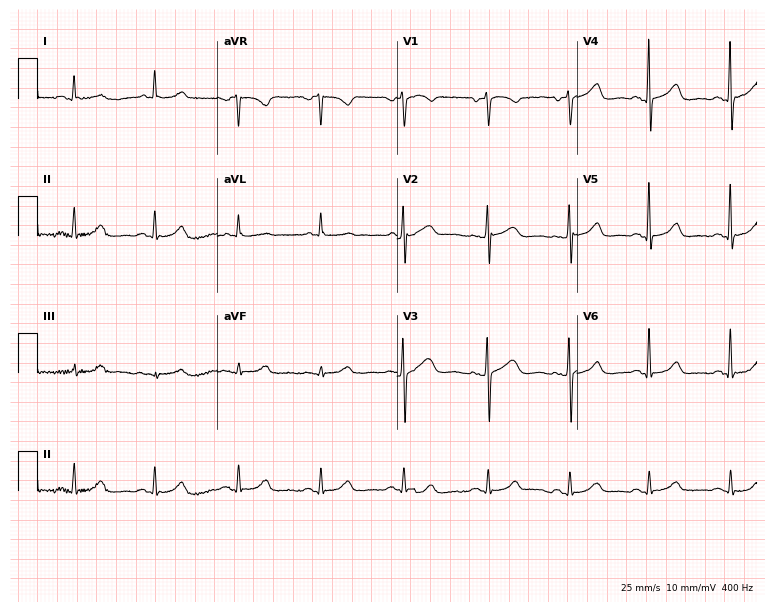
12-lead ECG from a male, 71 years old. Recorded interpretation: within normal limits.